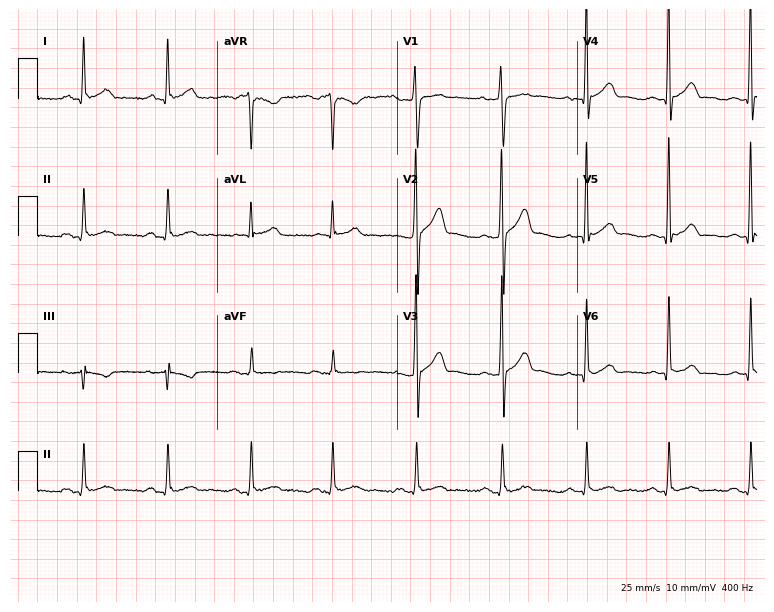
Standard 12-lead ECG recorded from a male, 35 years old (7.3-second recording at 400 Hz). None of these six findings is recorded: first-degree AV block, right bundle branch block, left bundle branch block, sinus bradycardia, atrial fibrillation, sinus tachycardia.